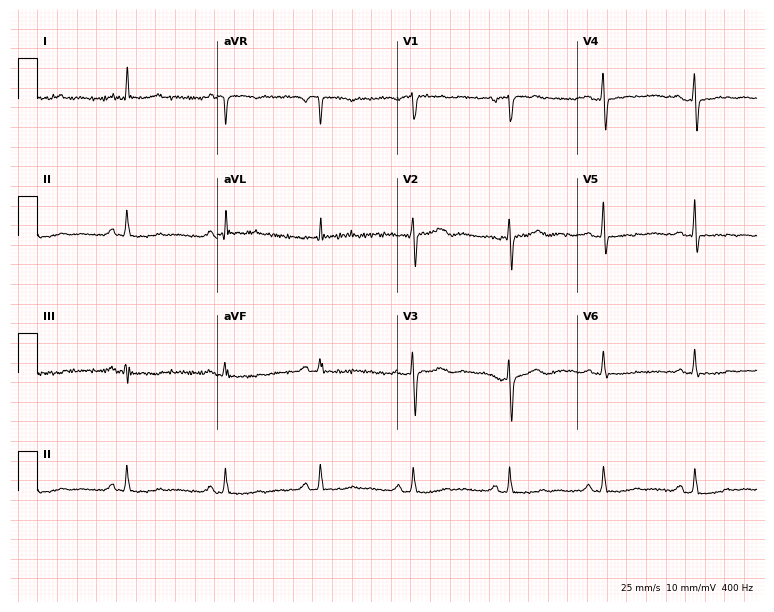
Electrocardiogram (7.3-second recording at 400 Hz), a woman, 68 years old. Of the six screened findings (first-degree AV block, right bundle branch block (RBBB), left bundle branch block (LBBB), sinus bradycardia, atrial fibrillation (AF), sinus tachycardia), none is recorded.